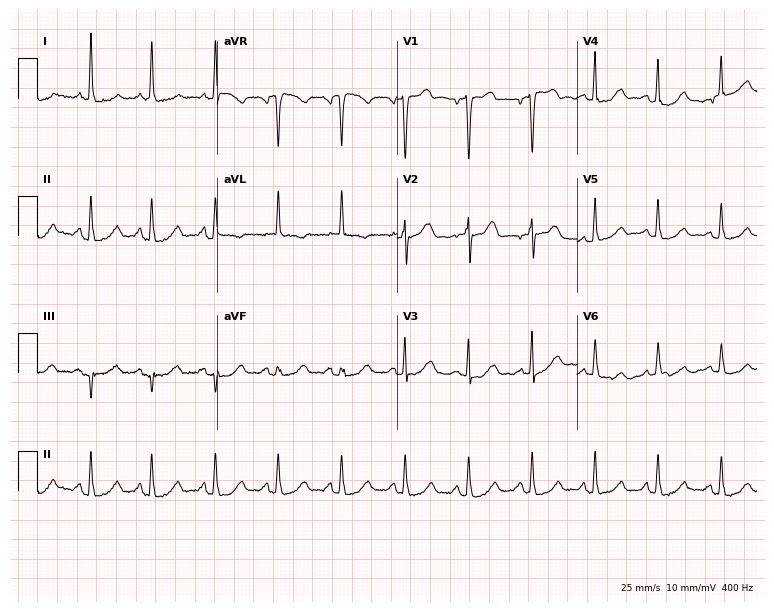
Standard 12-lead ECG recorded from a female patient, 79 years old. Read as a normal ECG.